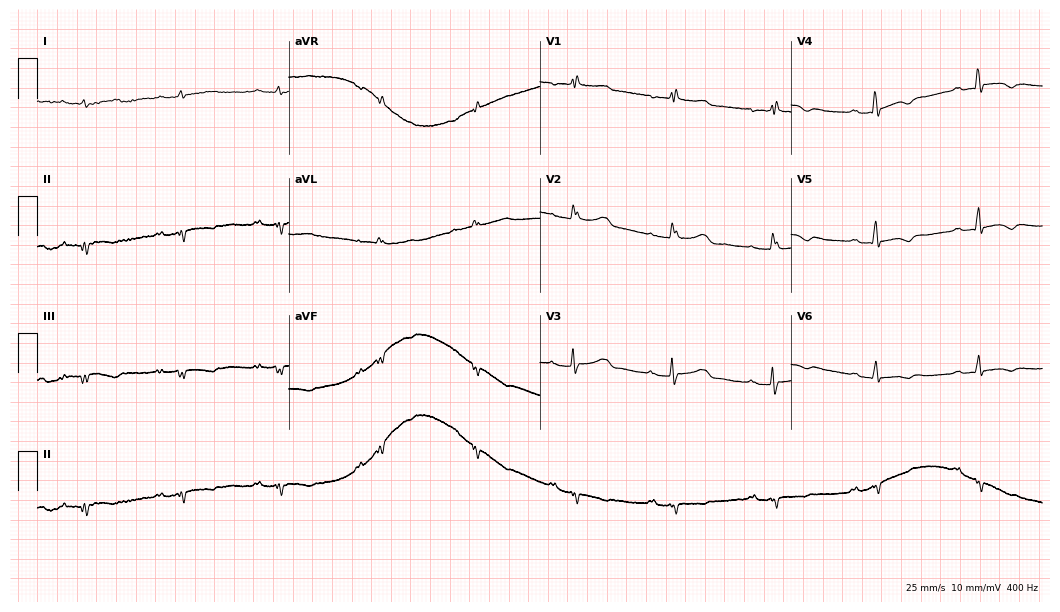
Resting 12-lead electrocardiogram. Patient: a 46-year-old female. None of these six findings is recorded: first-degree AV block, right bundle branch block, left bundle branch block, sinus bradycardia, atrial fibrillation, sinus tachycardia.